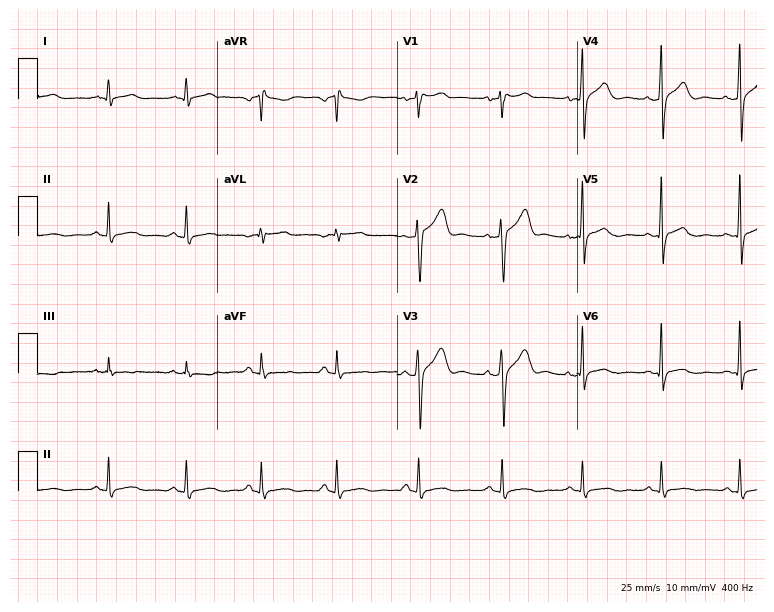
Resting 12-lead electrocardiogram. Patient: a man, 64 years old. Read as a normal ECG.